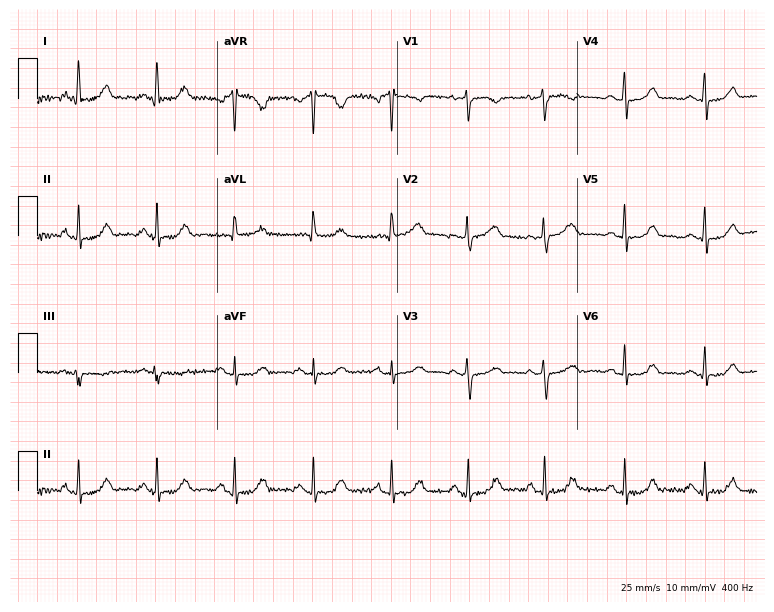
12-lead ECG from a female, 62 years old (7.3-second recording at 400 Hz). No first-degree AV block, right bundle branch block (RBBB), left bundle branch block (LBBB), sinus bradycardia, atrial fibrillation (AF) or sinus tachycardia recorded for this tracing. Other findings, if any, are not listed.